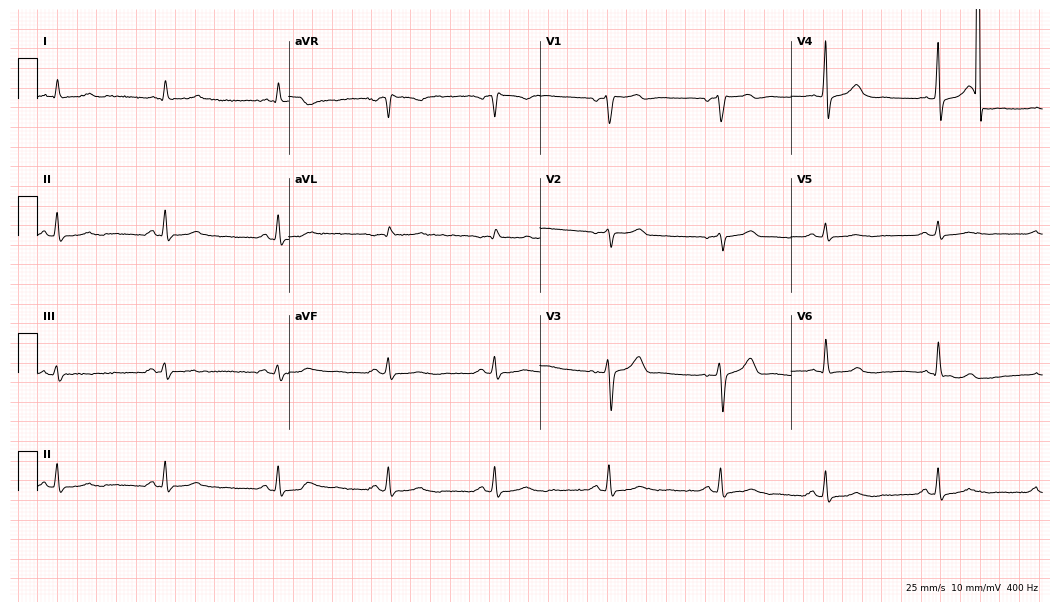
Electrocardiogram (10.2-second recording at 400 Hz), a male patient, 67 years old. Of the six screened findings (first-degree AV block, right bundle branch block (RBBB), left bundle branch block (LBBB), sinus bradycardia, atrial fibrillation (AF), sinus tachycardia), none is recorded.